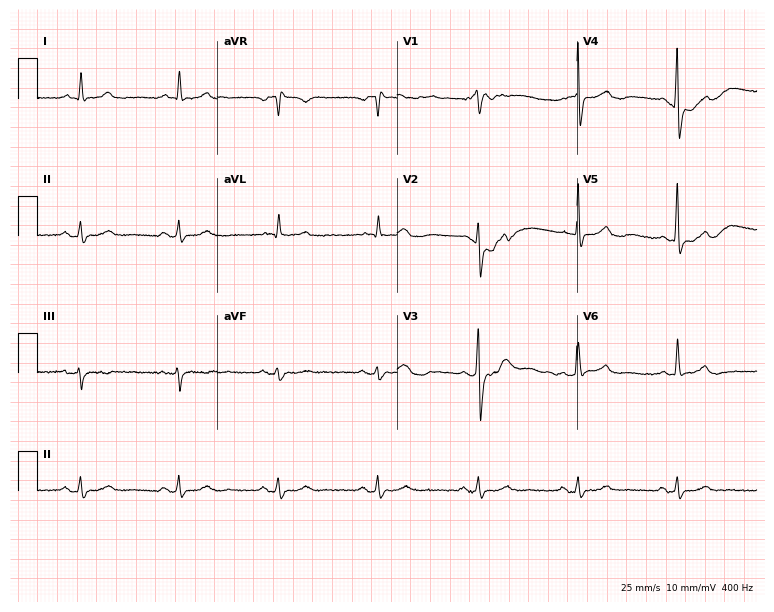
Standard 12-lead ECG recorded from an 81-year-old male patient. None of these six findings is recorded: first-degree AV block, right bundle branch block (RBBB), left bundle branch block (LBBB), sinus bradycardia, atrial fibrillation (AF), sinus tachycardia. Findings outside these six are not listed.